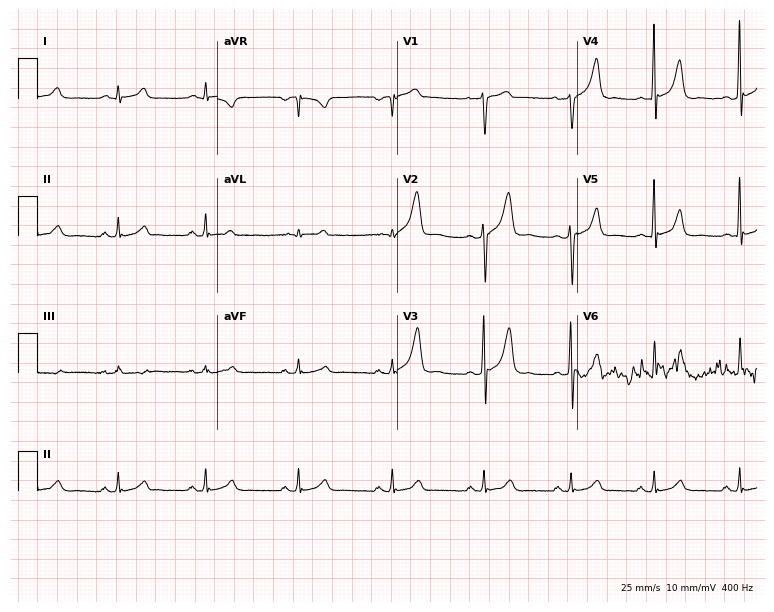
12-lead ECG from a 33-year-old man. Recorded interpretation: within normal limits.